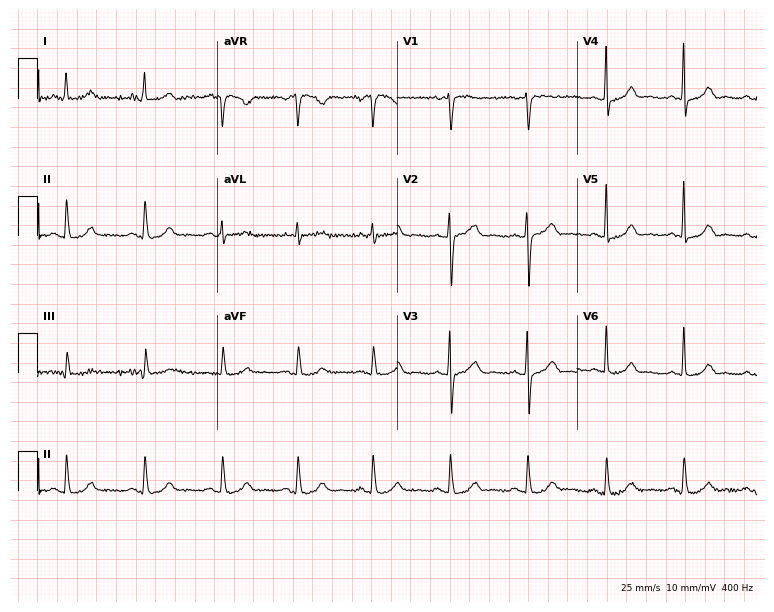
Resting 12-lead electrocardiogram (7.3-second recording at 400 Hz). Patient: a female, 58 years old. None of these six findings is recorded: first-degree AV block, right bundle branch block (RBBB), left bundle branch block (LBBB), sinus bradycardia, atrial fibrillation (AF), sinus tachycardia.